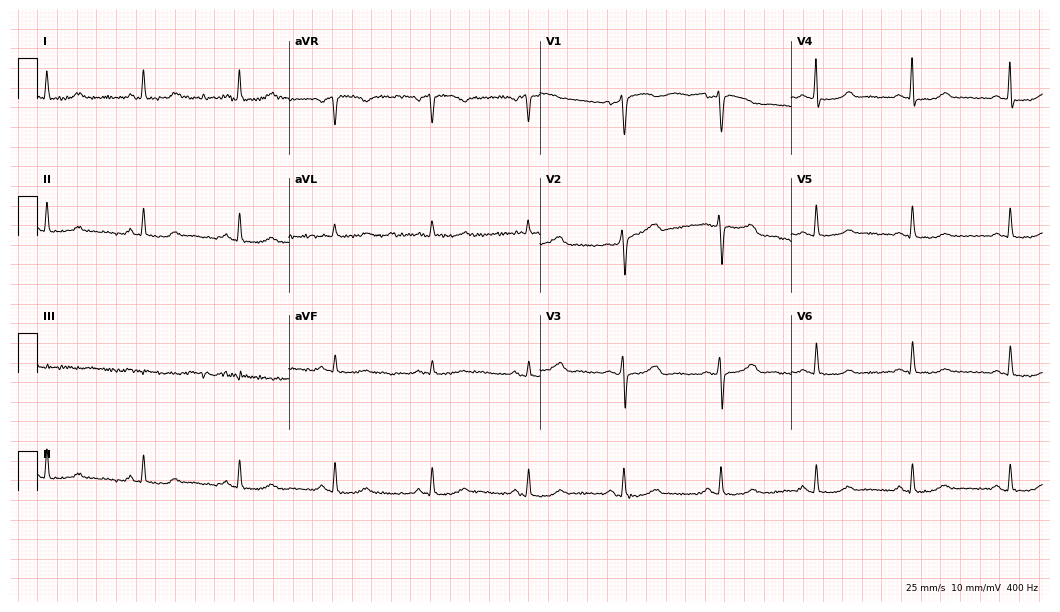
12-lead ECG from a woman, 60 years old. No first-degree AV block, right bundle branch block, left bundle branch block, sinus bradycardia, atrial fibrillation or sinus tachycardia recorded for this tracing. Other findings, if any, are not listed.